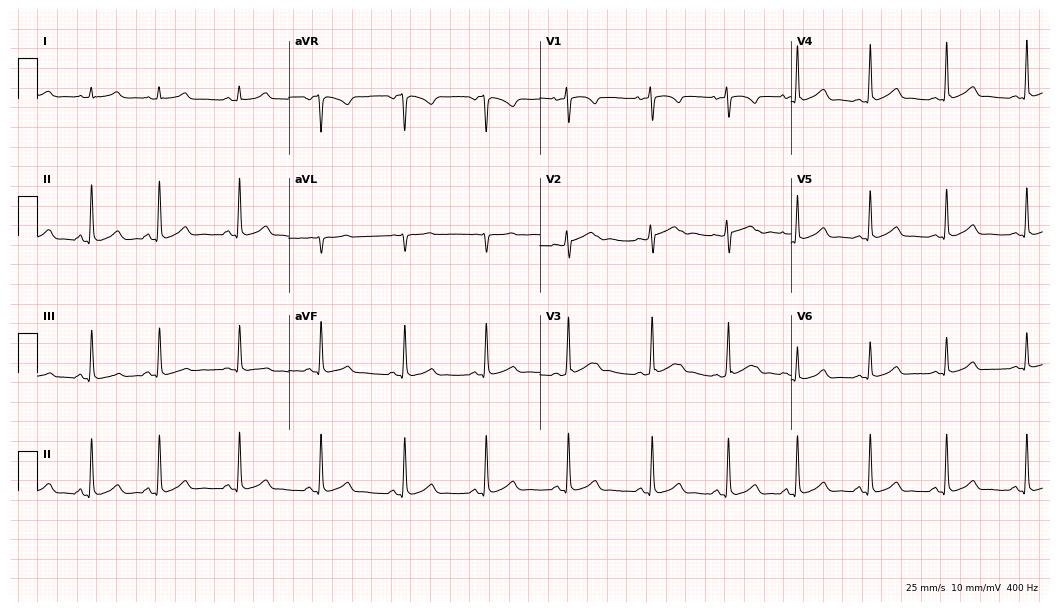
ECG — a 23-year-old female patient. Labelled as a normal ECG.